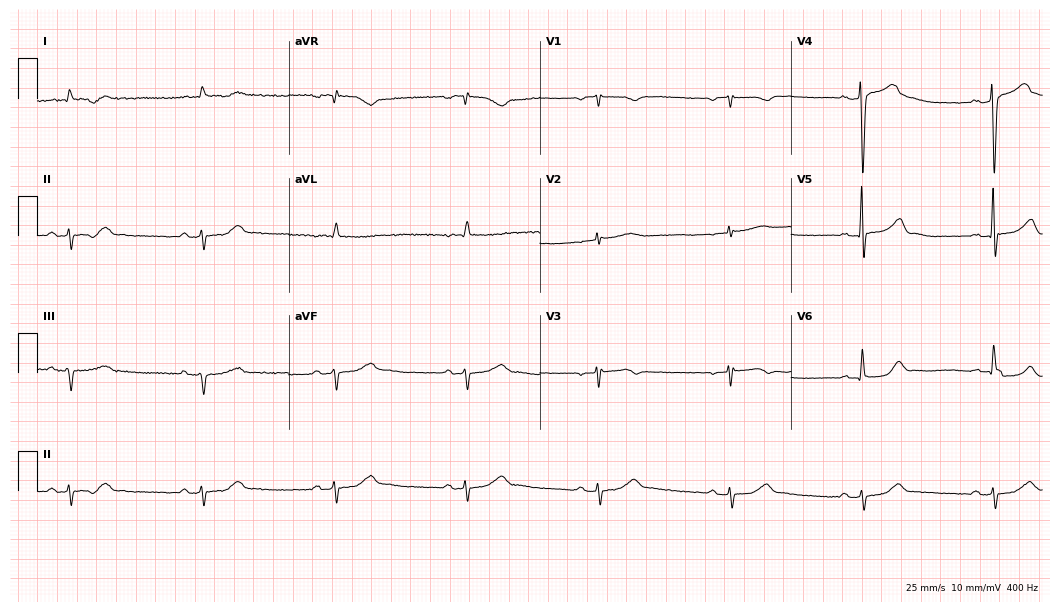
Resting 12-lead electrocardiogram. Patient: a 76-year-old man. The tracing shows sinus bradycardia (a sinus rate of 50 beats per minute or less).